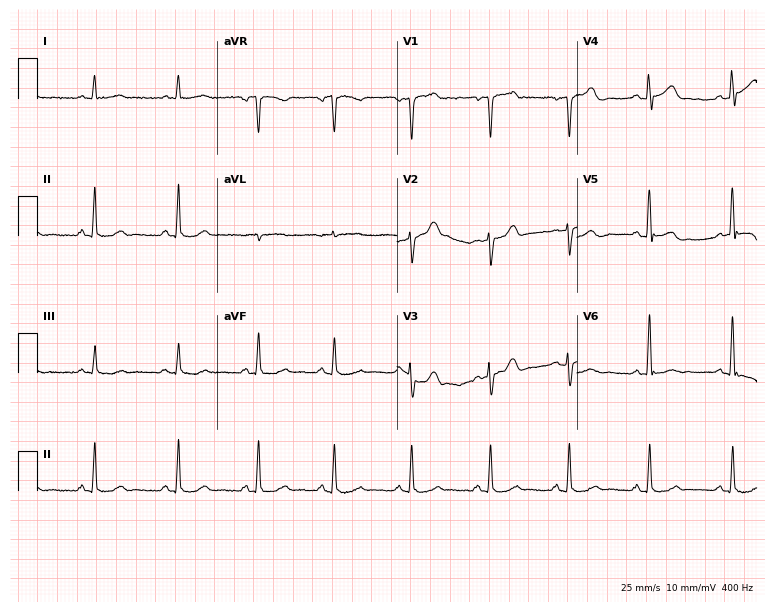
Standard 12-lead ECG recorded from a 61-year-old male. Read as a normal ECG.